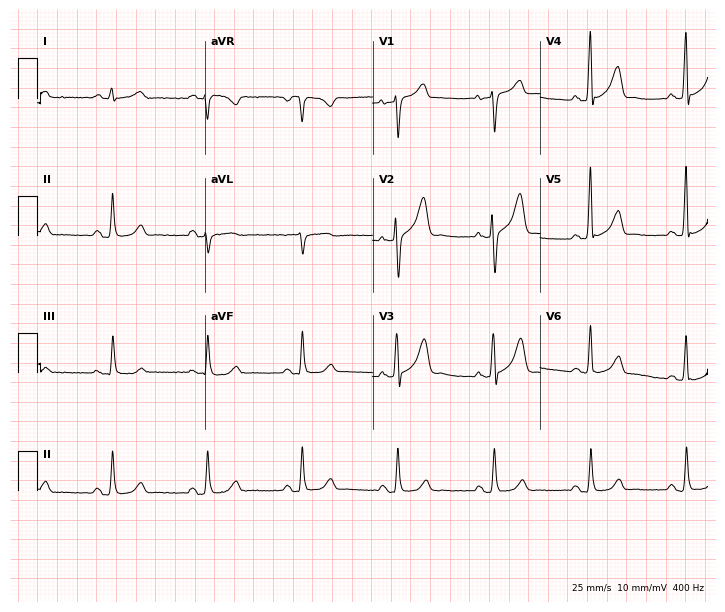
Electrocardiogram (6.8-second recording at 400 Hz), a 58-year-old male. Of the six screened findings (first-degree AV block, right bundle branch block, left bundle branch block, sinus bradycardia, atrial fibrillation, sinus tachycardia), none is recorded.